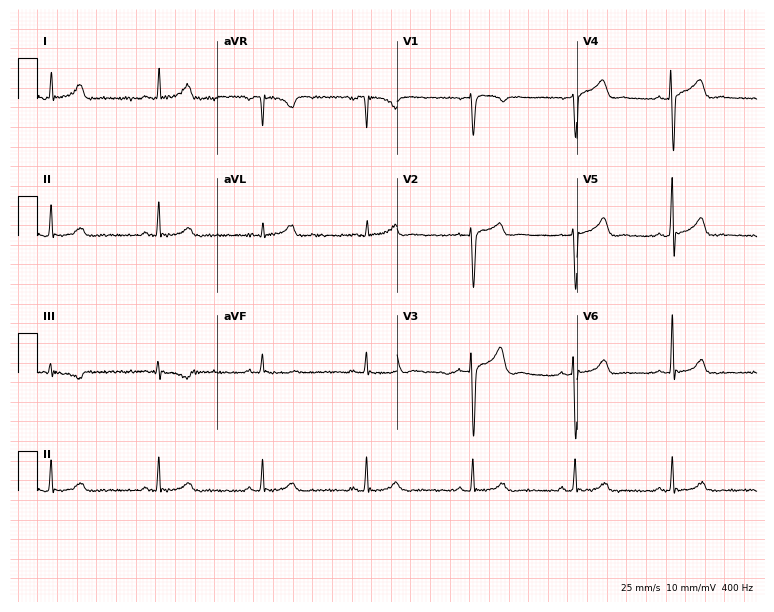
Resting 12-lead electrocardiogram (7.3-second recording at 400 Hz). Patient: a 45-year-old male. Read as a normal ECG.